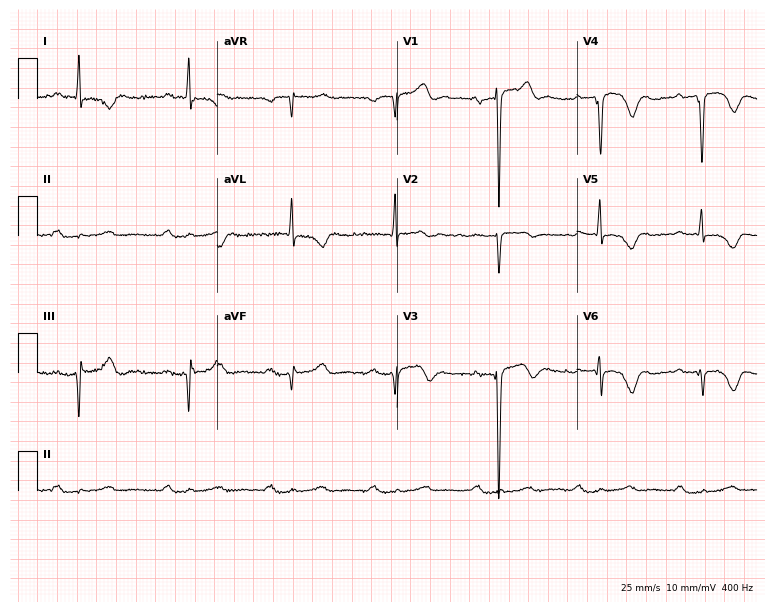
ECG (7.3-second recording at 400 Hz) — a male, 63 years old. Screened for six findings — first-degree AV block, right bundle branch block (RBBB), left bundle branch block (LBBB), sinus bradycardia, atrial fibrillation (AF), sinus tachycardia — none is recorded.